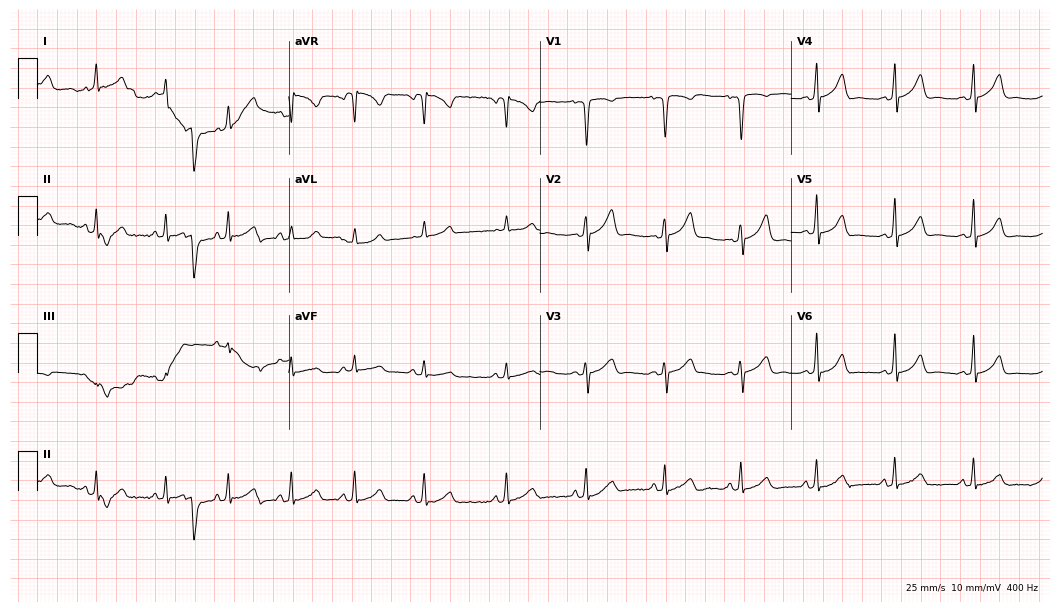
ECG — a 19-year-old female patient. Labelled as a normal ECG.